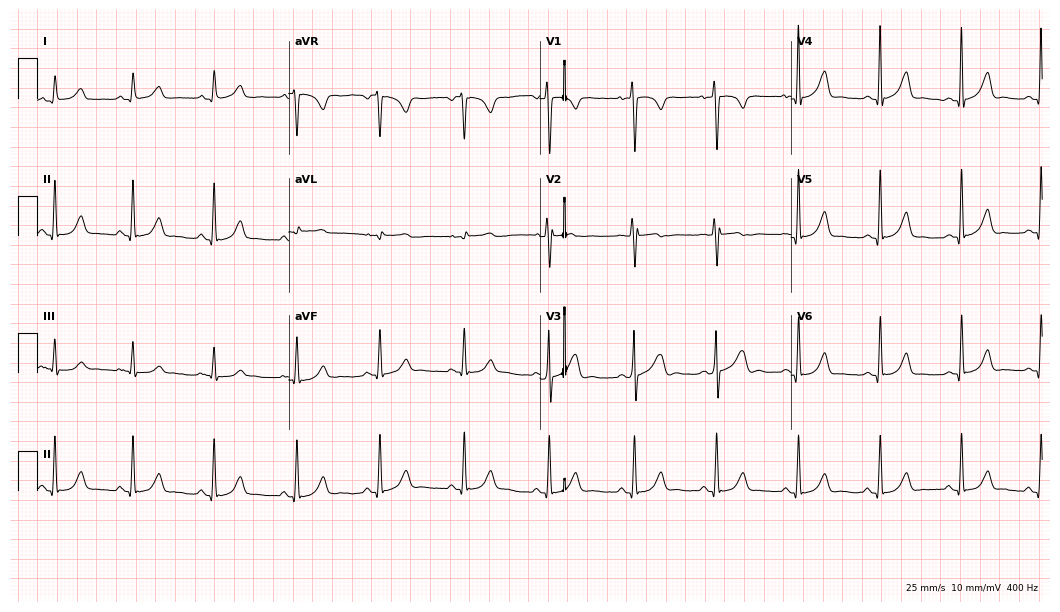
Standard 12-lead ECG recorded from a female patient, 47 years old (10.2-second recording at 400 Hz). Read as a normal ECG.